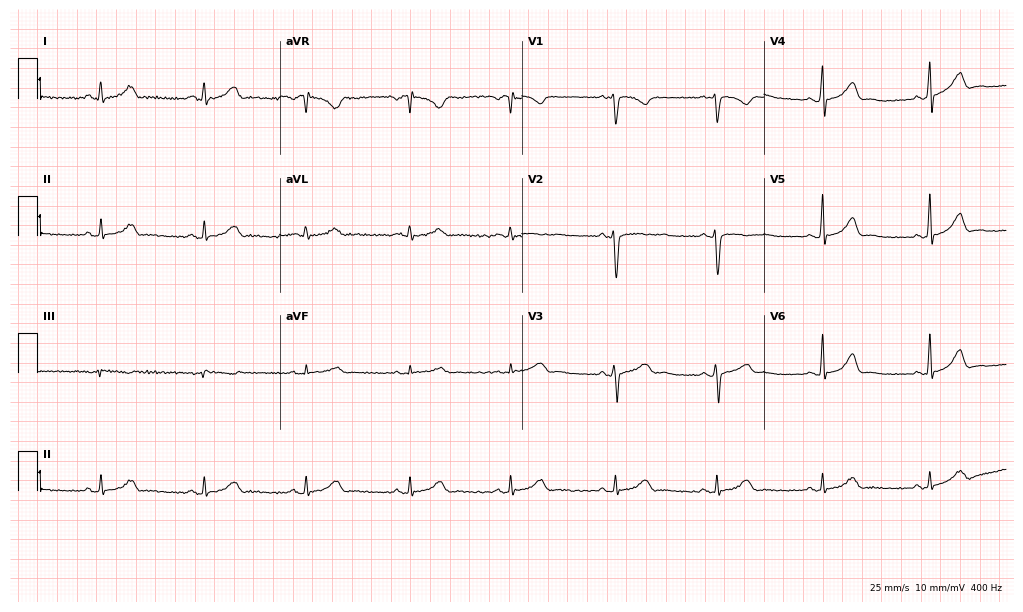
Resting 12-lead electrocardiogram (9.9-second recording at 400 Hz). Patient: a 23-year-old female. Read as a normal ECG.